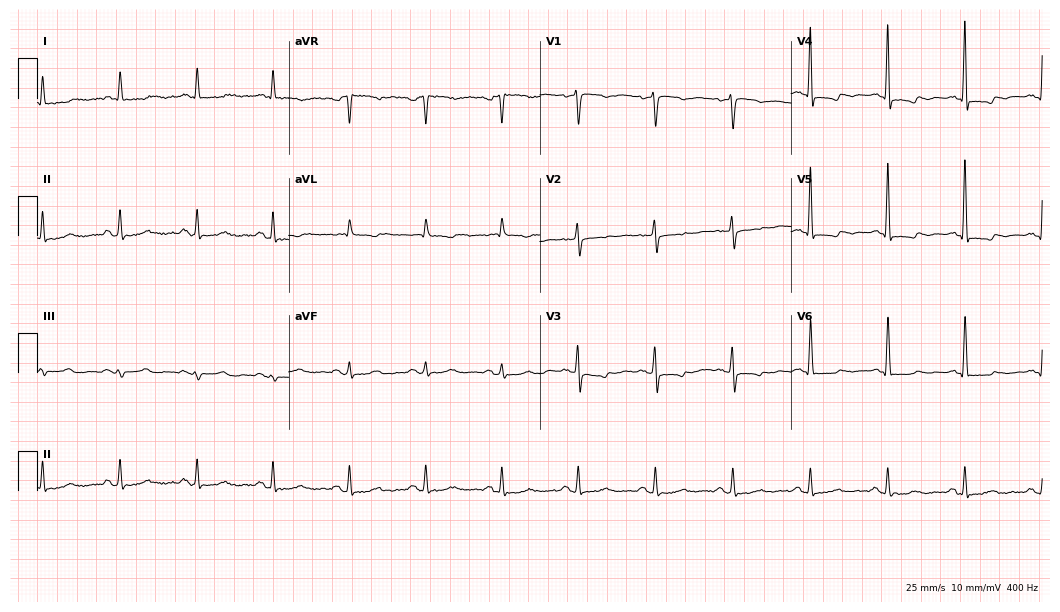
ECG — a female, 76 years old. Screened for six findings — first-degree AV block, right bundle branch block (RBBB), left bundle branch block (LBBB), sinus bradycardia, atrial fibrillation (AF), sinus tachycardia — none is recorded.